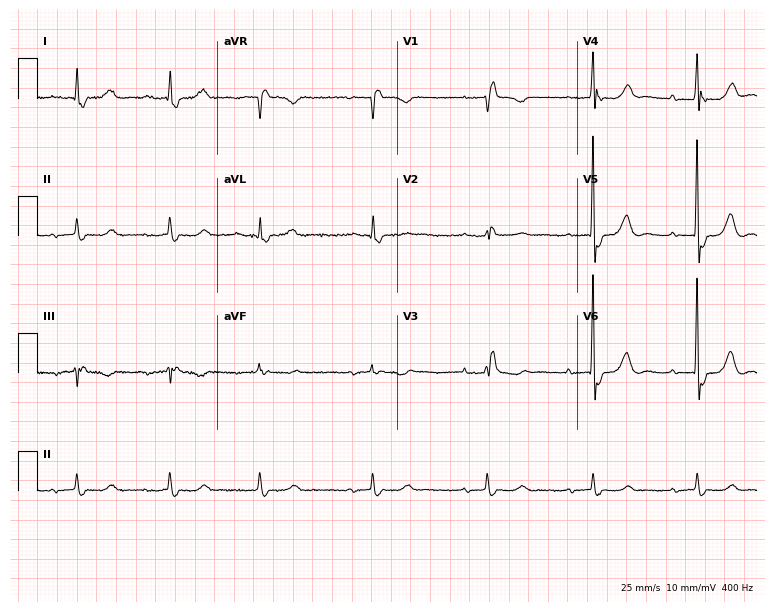
12-lead ECG from a 74-year-old female patient (7.3-second recording at 400 Hz). No first-degree AV block, right bundle branch block, left bundle branch block, sinus bradycardia, atrial fibrillation or sinus tachycardia recorded for this tracing. Other findings, if any, are not listed.